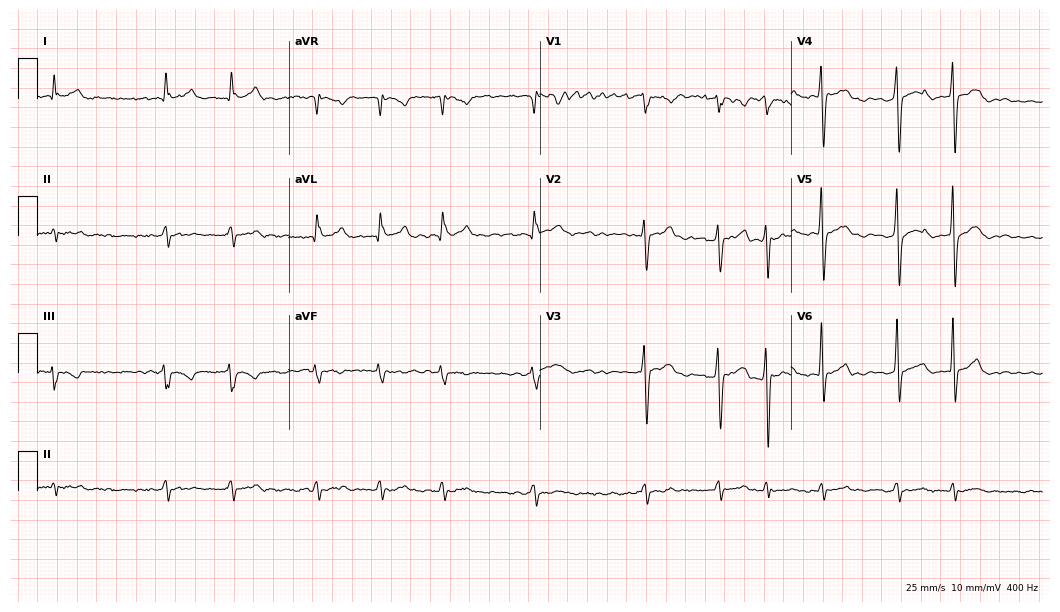
Standard 12-lead ECG recorded from a male, 63 years old (10.2-second recording at 400 Hz). The tracing shows atrial fibrillation.